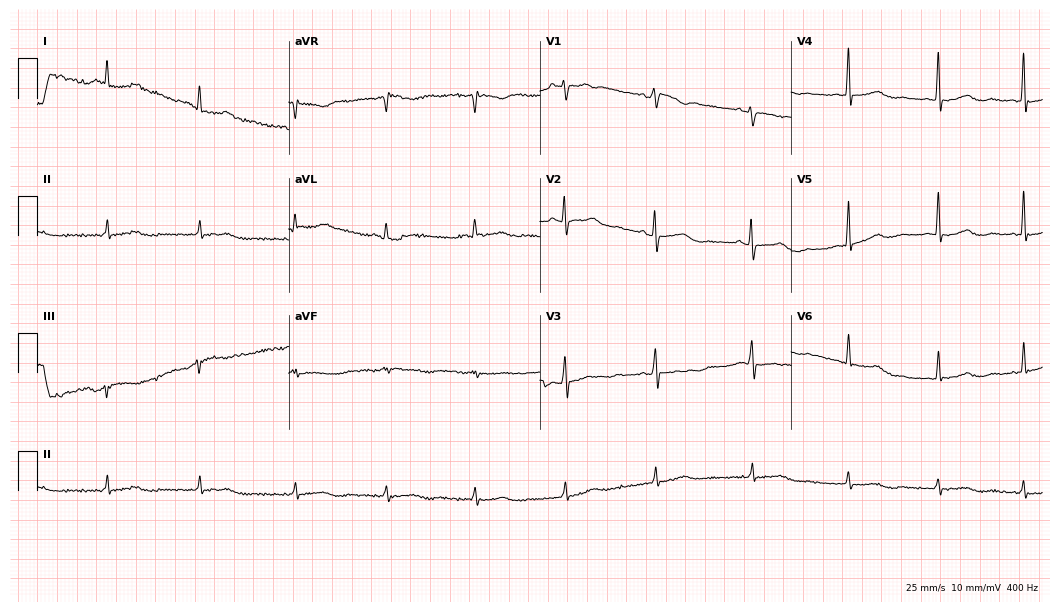
Standard 12-lead ECG recorded from a 41-year-old female. Read as a normal ECG.